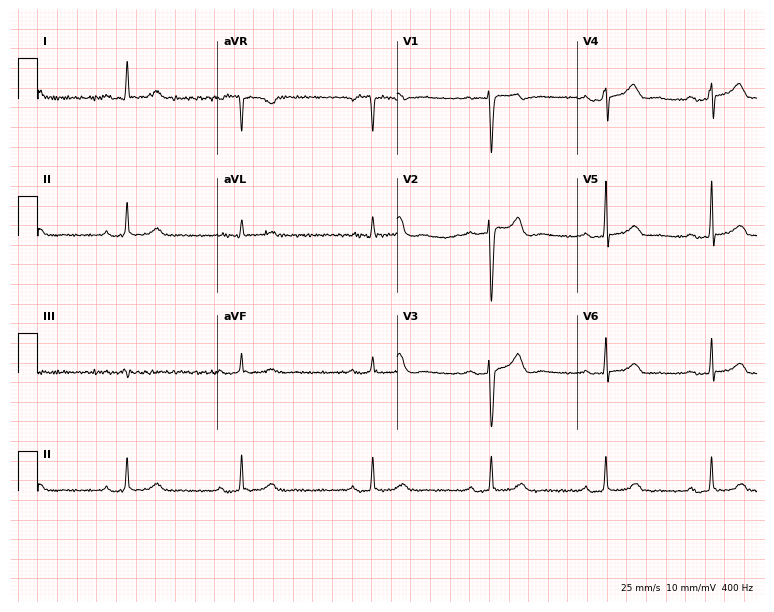
Resting 12-lead electrocardiogram. Patient: a man, 40 years old. The tracing shows first-degree AV block.